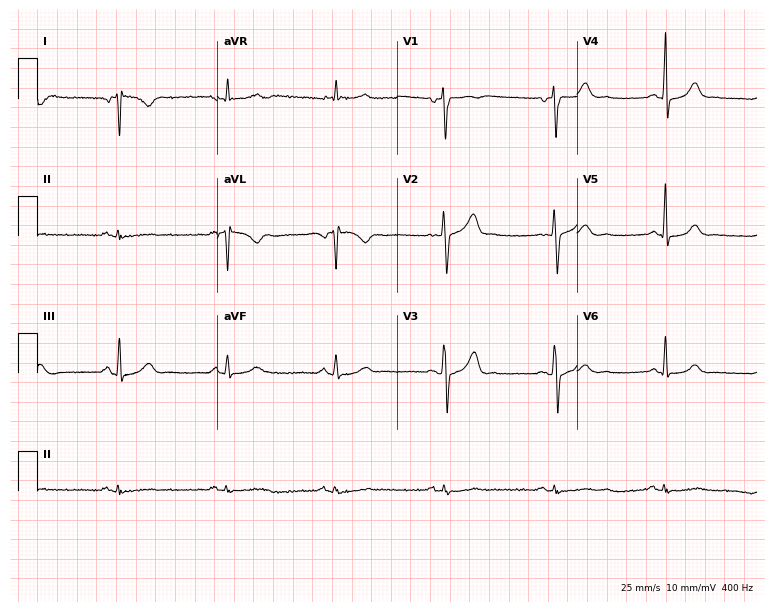
ECG (7.3-second recording at 400 Hz) — a male patient, 62 years old. Screened for six findings — first-degree AV block, right bundle branch block, left bundle branch block, sinus bradycardia, atrial fibrillation, sinus tachycardia — none is recorded.